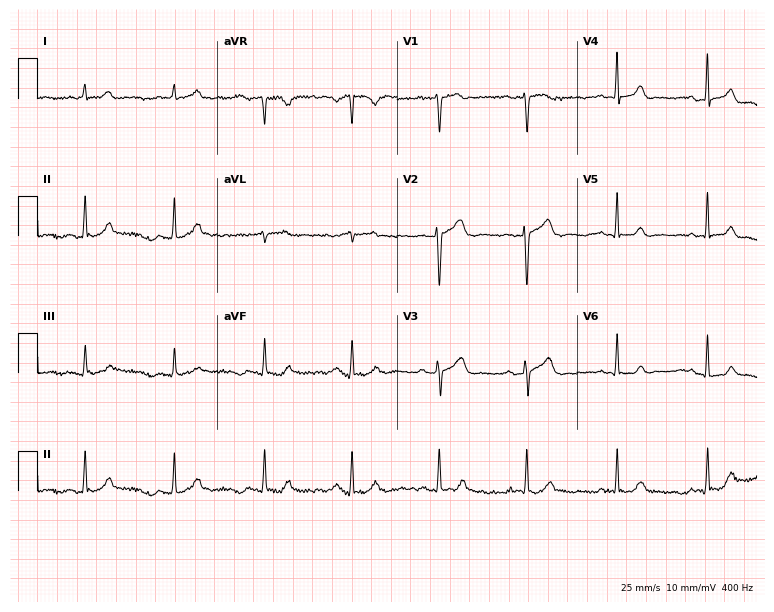
12-lead ECG (7.3-second recording at 400 Hz) from a 32-year-old female patient. Labelled as a normal ECG.